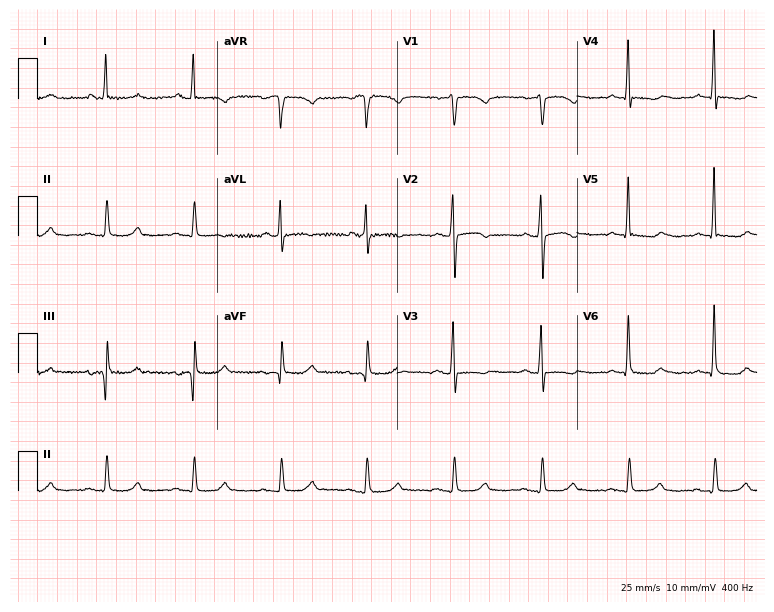
Resting 12-lead electrocardiogram. Patient: a woman, 61 years old. None of these six findings is recorded: first-degree AV block, right bundle branch block (RBBB), left bundle branch block (LBBB), sinus bradycardia, atrial fibrillation (AF), sinus tachycardia. Other findings, if any, are not listed.